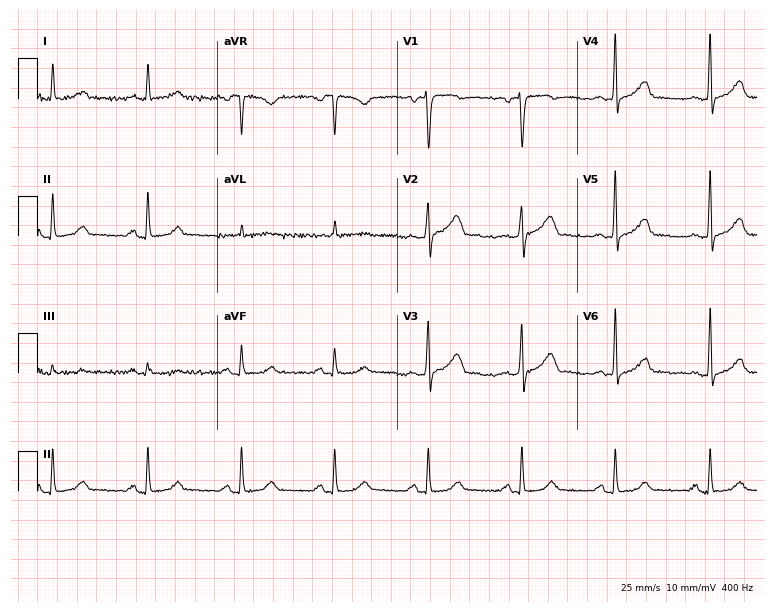
Standard 12-lead ECG recorded from a male, 58 years old (7.3-second recording at 400 Hz). Read as a normal ECG.